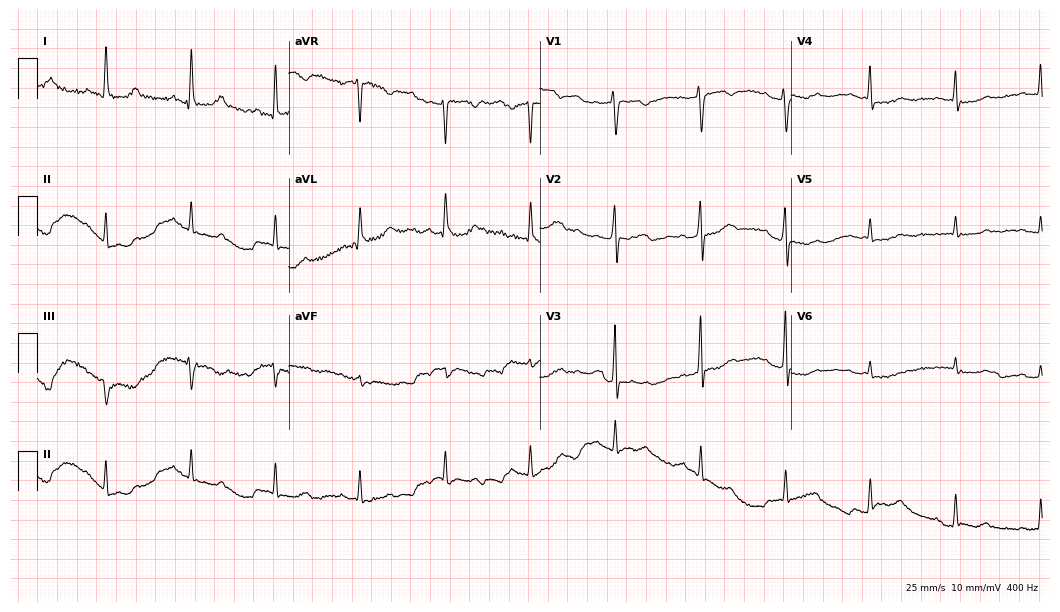
Electrocardiogram, a female patient, 51 years old. Overall reading on record: normal ECG.